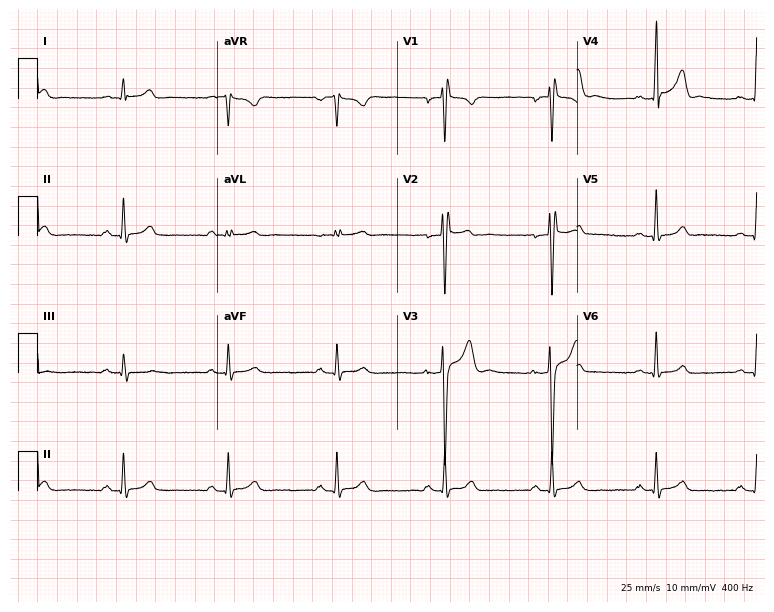
12-lead ECG from a male, 19 years old (7.3-second recording at 400 Hz). No first-degree AV block, right bundle branch block (RBBB), left bundle branch block (LBBB), sinus bradycardia, atrial fibrillation (AF) or sinus tachycardia recorded for this tracing. Other findings, if any, are not listed.